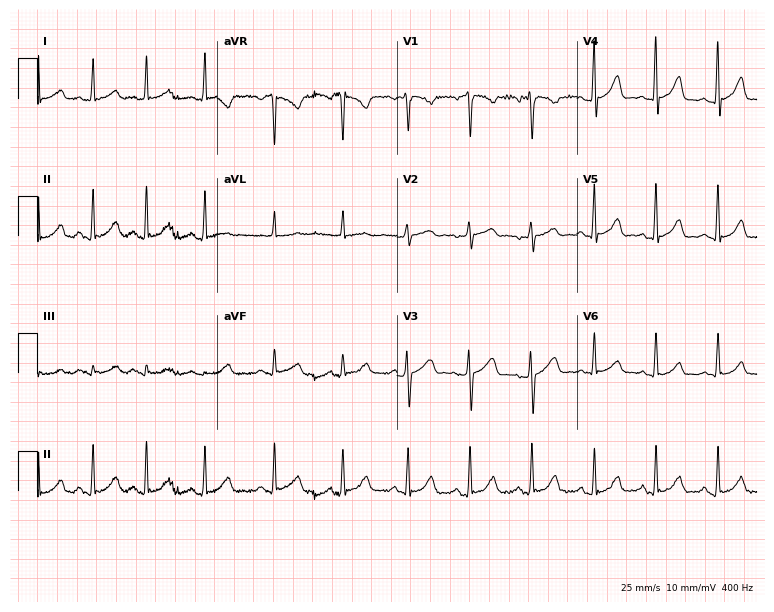
12-lead ECG from a 32-year-old woman. Recorded interpretation: within normal limits.